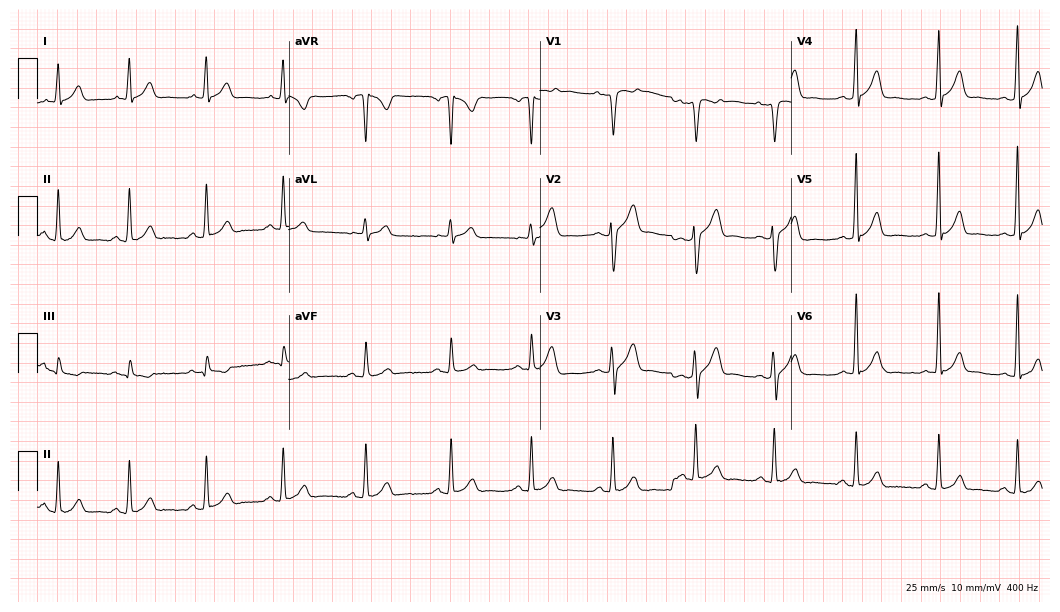
Electrocardiogram (10.2-second recording at 400 Hz), a 25-year-old man. Overall reading on record: normal ECG.